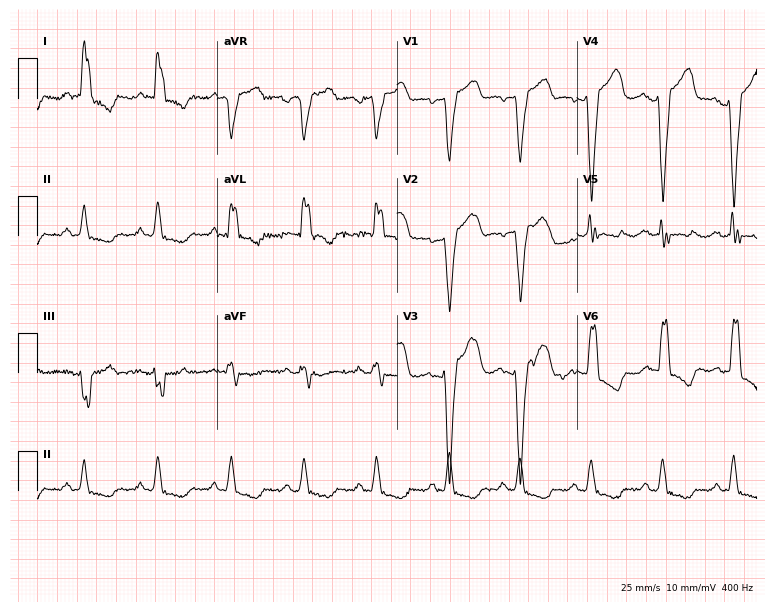
Resting 12-lead electrocardiogram. Patient: a 67-year-old female. The tracing shows left bundle branch block.